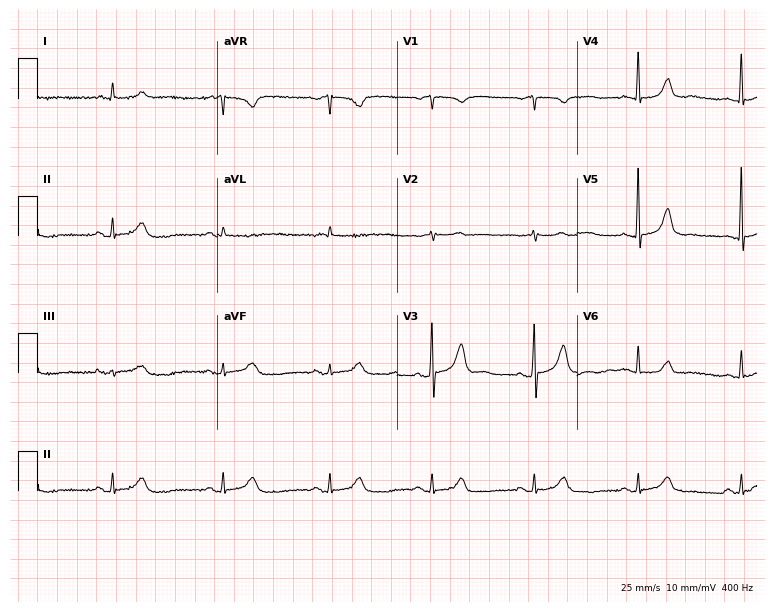
Electrocardiogram (7.3-second recording at 400 Hz), a male patient, 73 years old. Of the six screened findings (first-degree AV block, right bundle branch block, left bundle branch block, sinus bradycardia, atrial fibrillation, sinus tachycardia), none is recorded. Findings outside these six are not listed.